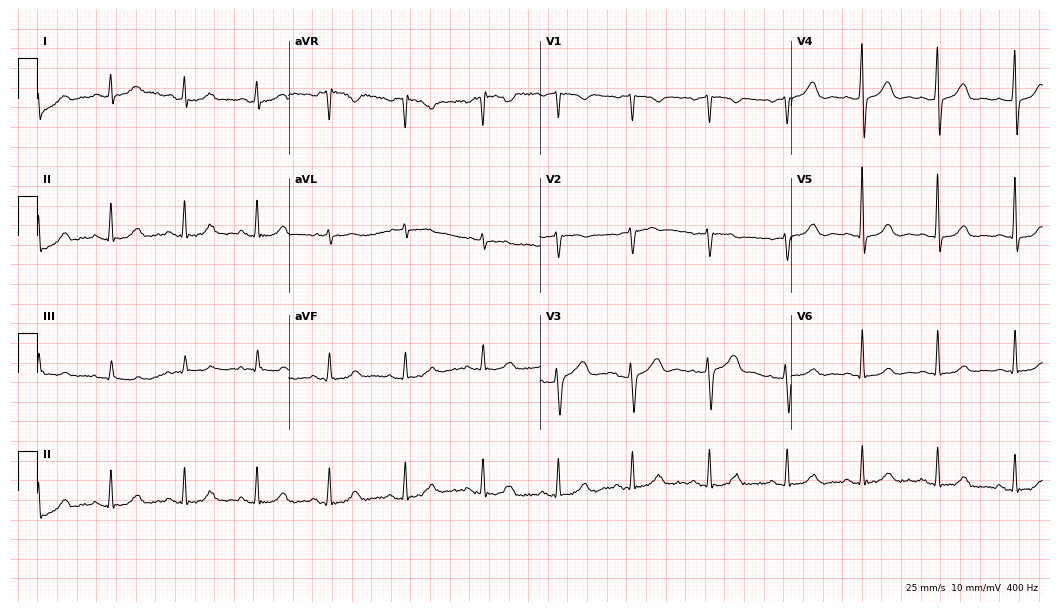
Electrocardiogram (10.2-second recording at 400 Hz), a female, 50 years old. Of the six screened findings (first-degree AV block, right bundle branch block, left bundle branch block, sinus bradycardia, atrial fibrillation, sinus tachycardia), none is recorded.